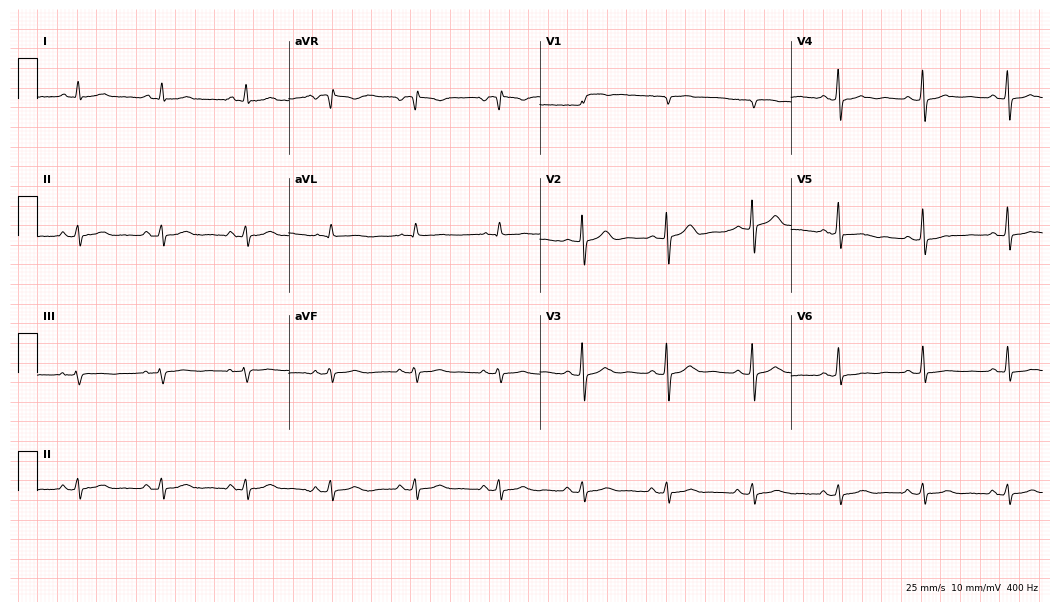
12-lead ECG from a woman, 80 years old (10.2-second recording at 400 Hz). No first-degree AV block, right bundle branch block, left bundle branch block, sinus bradycardia, atrial fibrillation or sinus tachycardia recorded for this tracing.